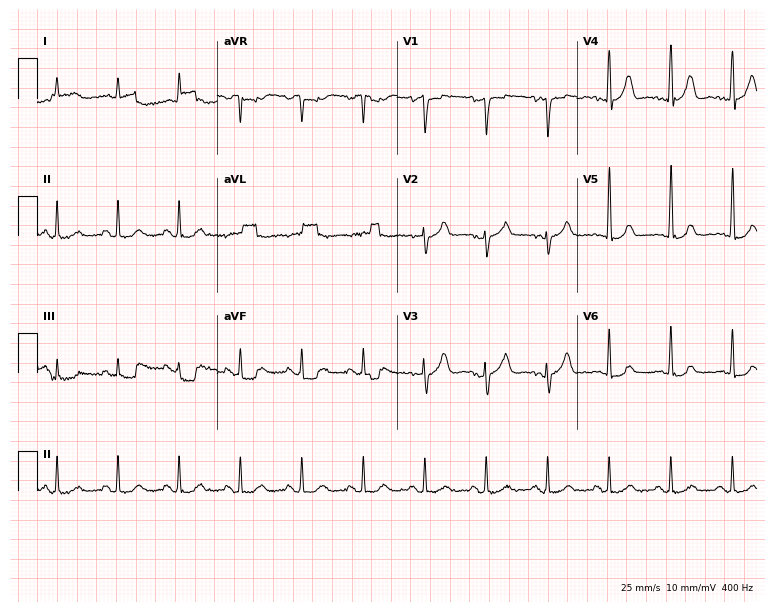
Electrocardiogram (7.3-second recording at 400 Hz), a male, 65 years old. Of the six screened findings (first-degree AV block, right bundle branch block, left bundle branch block, sinus bradycardia, atrial fibrillation, sinus tachycardia), none is recorded. Findings outside these six are not listed.